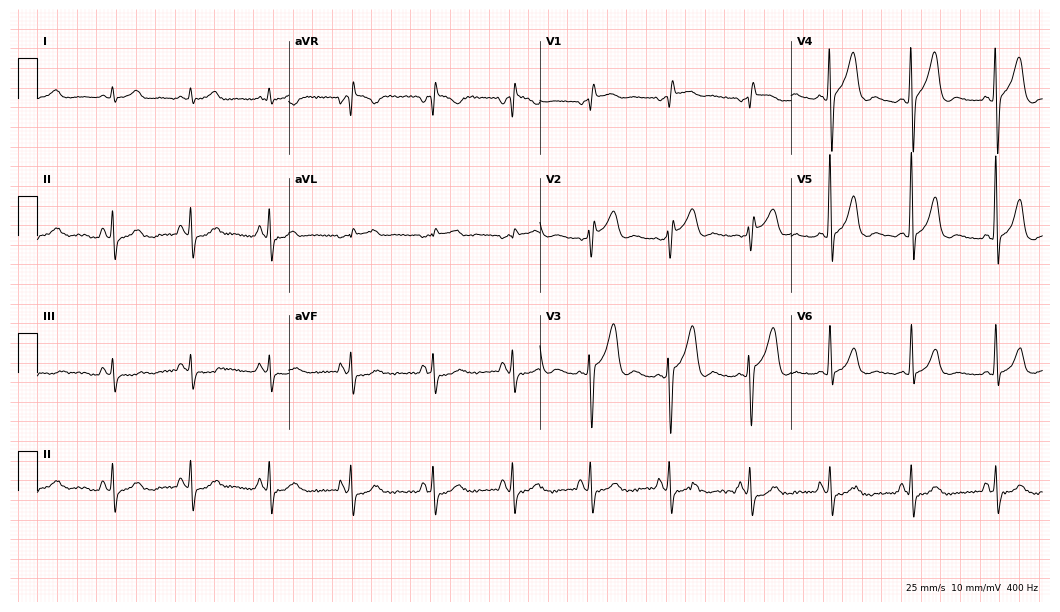
Electrocardiogram, a man, 66 years old. Of the six screened findings (first-degree AV block, right bundle branch block, left bundle branch block, sinus bradycardia, atrial fibrillation, sinus tachycardia), none is recorded.